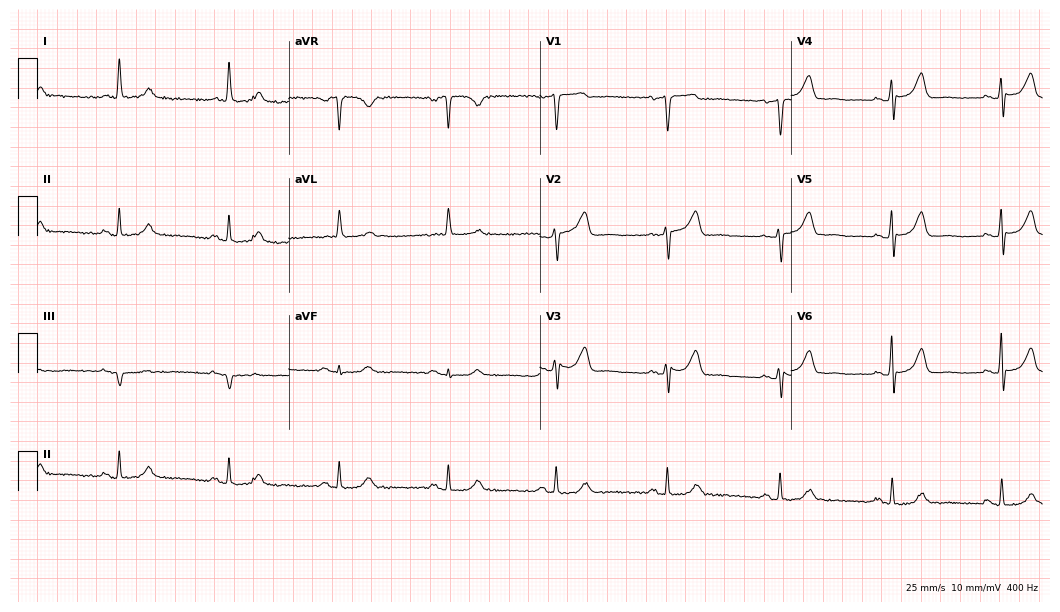
Electrocardiogram, a woman, 79 years old. Overall reading on record: normal ECG.